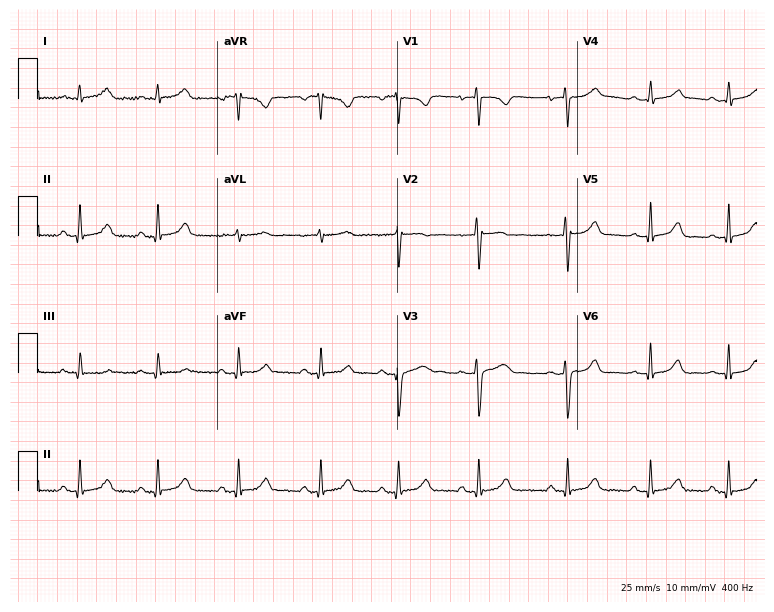
Electrocardiogram (7.3-second recording at 400 Hz), a female patient, 22 years old. Of the six screened findings (first-degree AV block, right bundle branch block, left bundle branch block, sinus bradycardia, atrial fibrillation, sinus tachycardia), none is recorded.